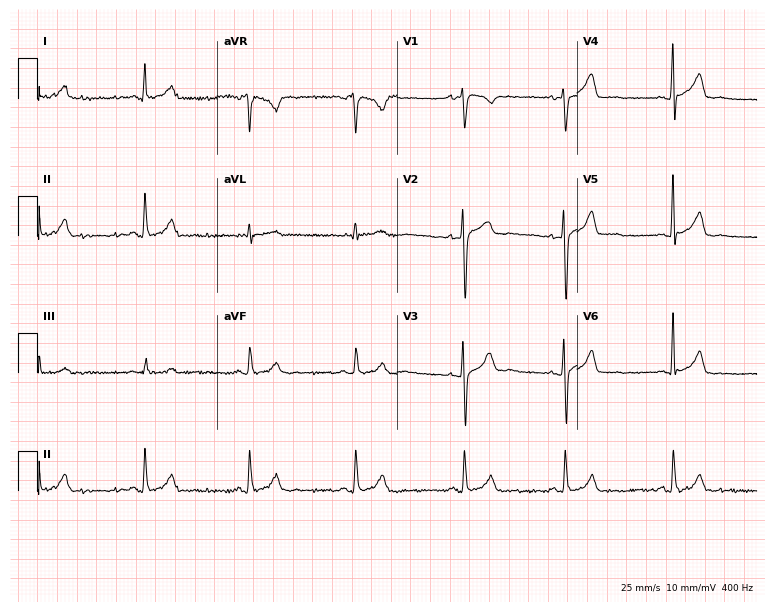
Standard 12-lead ECG recorded from a female, 32 years old. Read as a normal ECG.